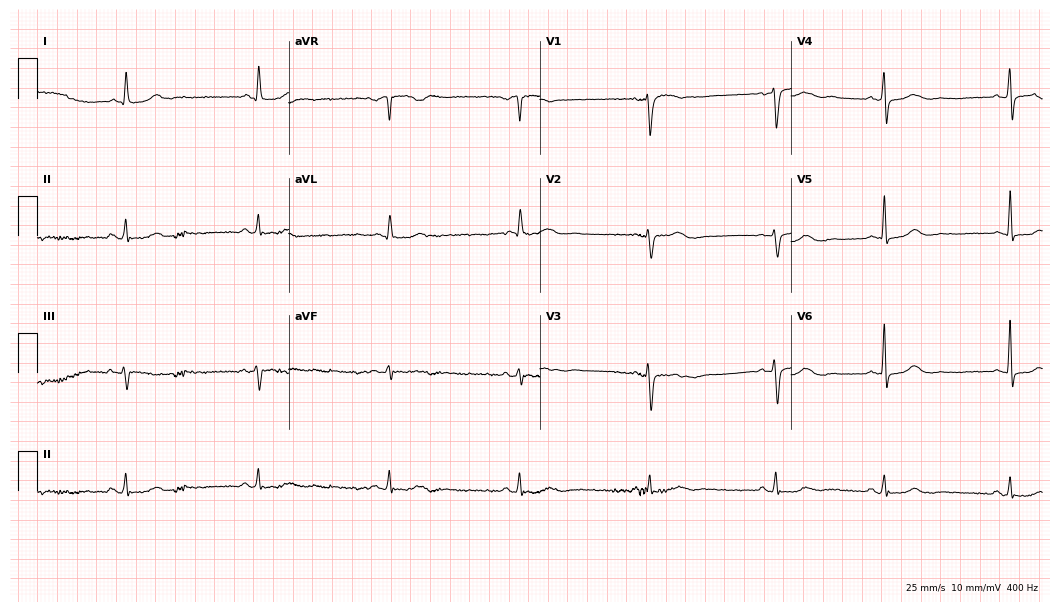
ECG (10.2-second recording at 400 Hz) — a 62-year-old female. Findings include sinus bradycardia (a sinus rate of 50 beats per minute or less).